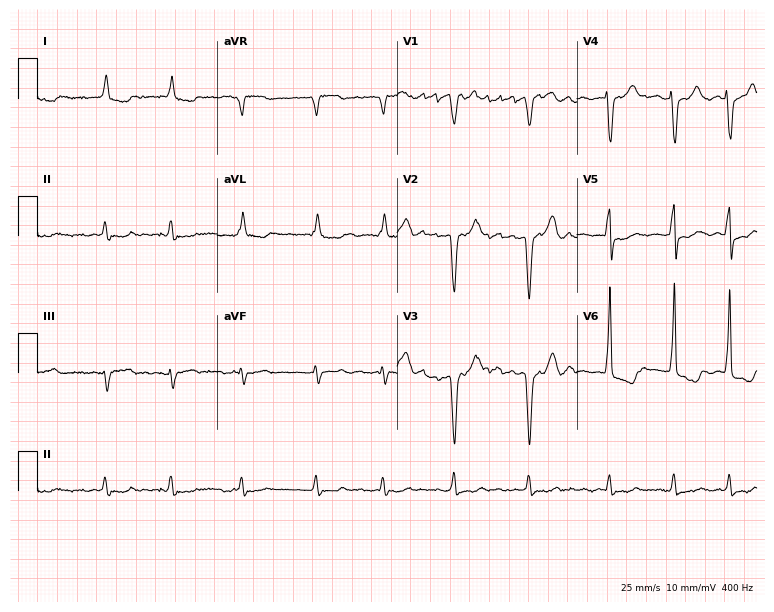
ECG (7.3-second recording at 400 Hz) — an 84-year-old female patient. Findings include atrial fibrillation.